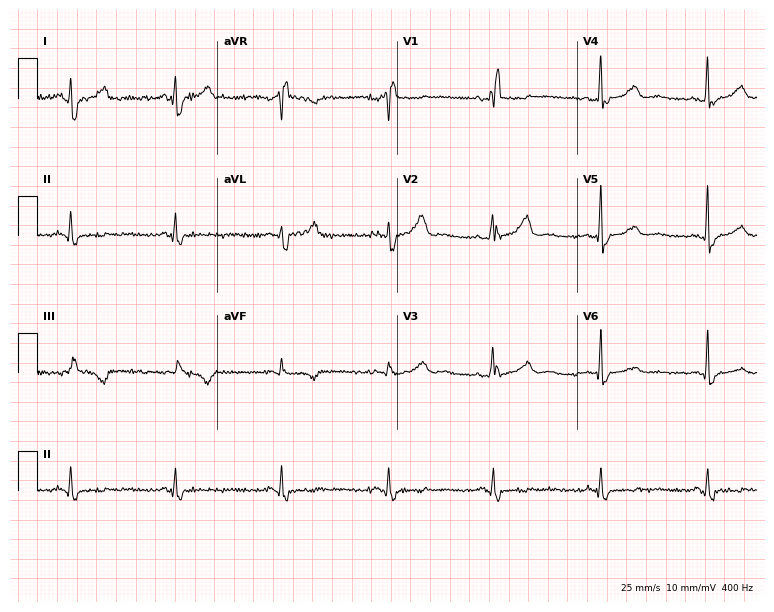
Resting 12-lead electrocardiogram. Patient: a woman, 37 years old. The tracing shows right bundle branch block.